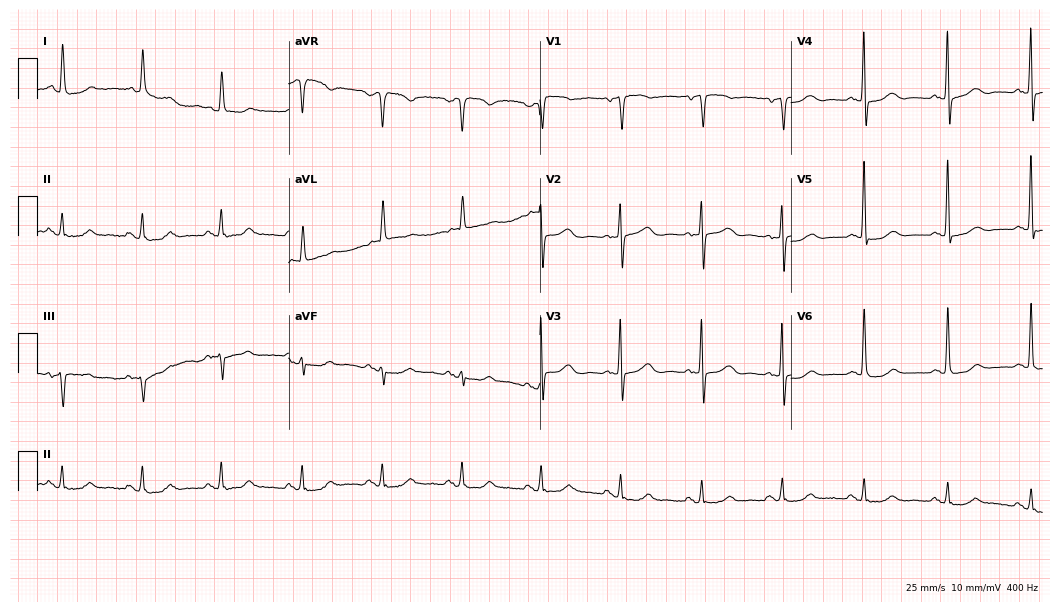
12-lead ECG (10.2-second recording at 400 Hz) from a 73-year-old woman. Labelled as a normal ECG.